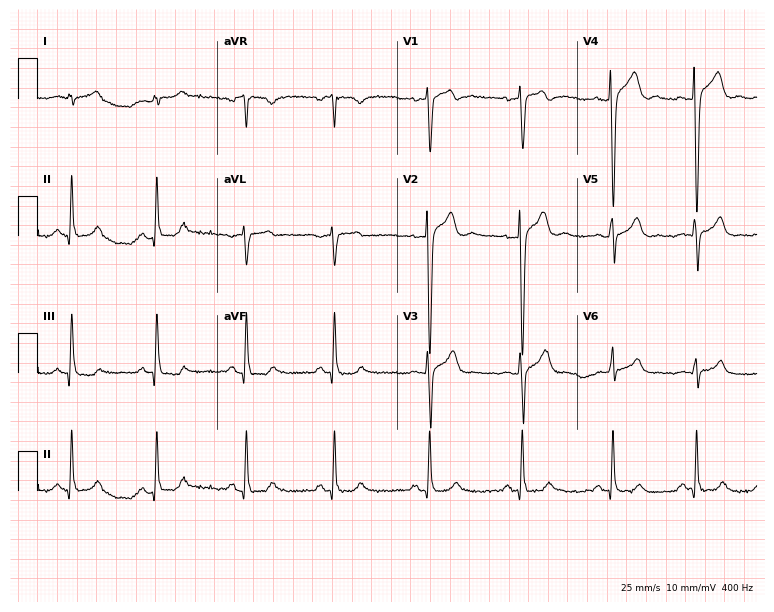
12-lead ECG (7.3-second recording at 400 Hz) from a 28-year-old man. Labelled as a normal ECG.